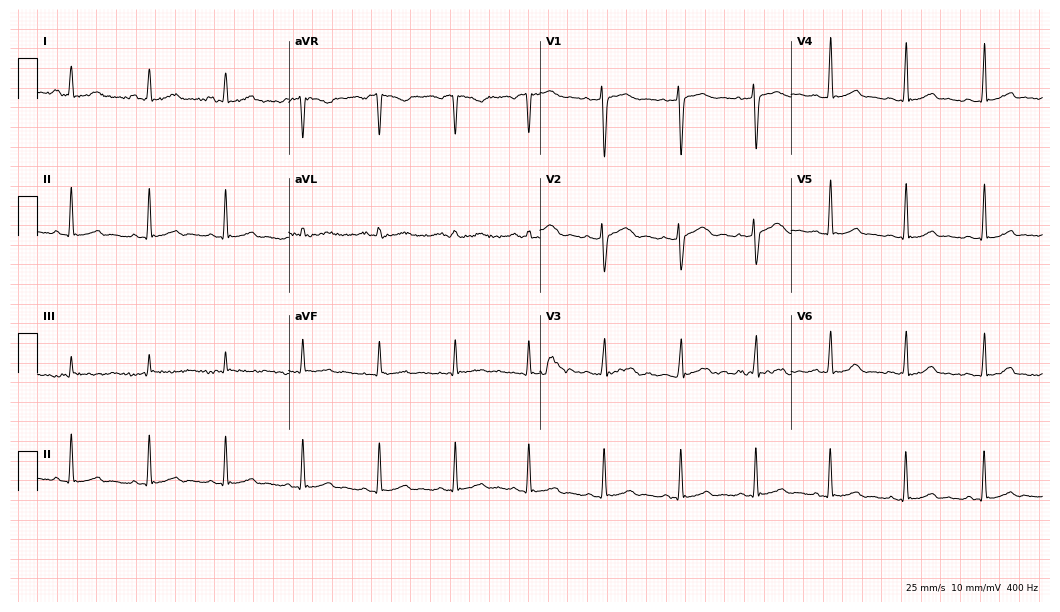
Standard 12-lead ECG recorded from a woman, 25 years old. None of these six findings is recorded: first-degree AV block, right bundle branch block (RBBB), left bundle branch block (LBBB), sinus bradycardia, atrial fibrillation (AF), sinus tachycardia. Findings outside these six are not listed.